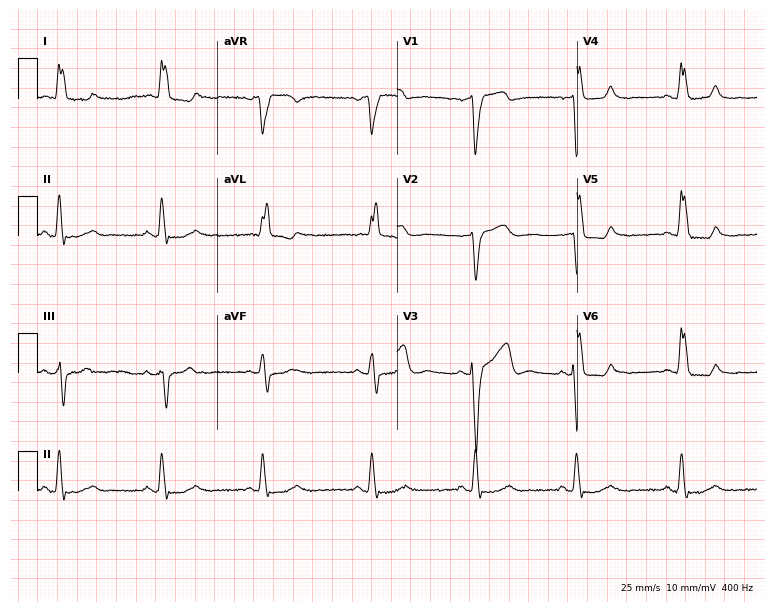
12-lead ECG from a 78-year-old woman (7.3-second recording at 400 Hz). Shows left bundle branch block.